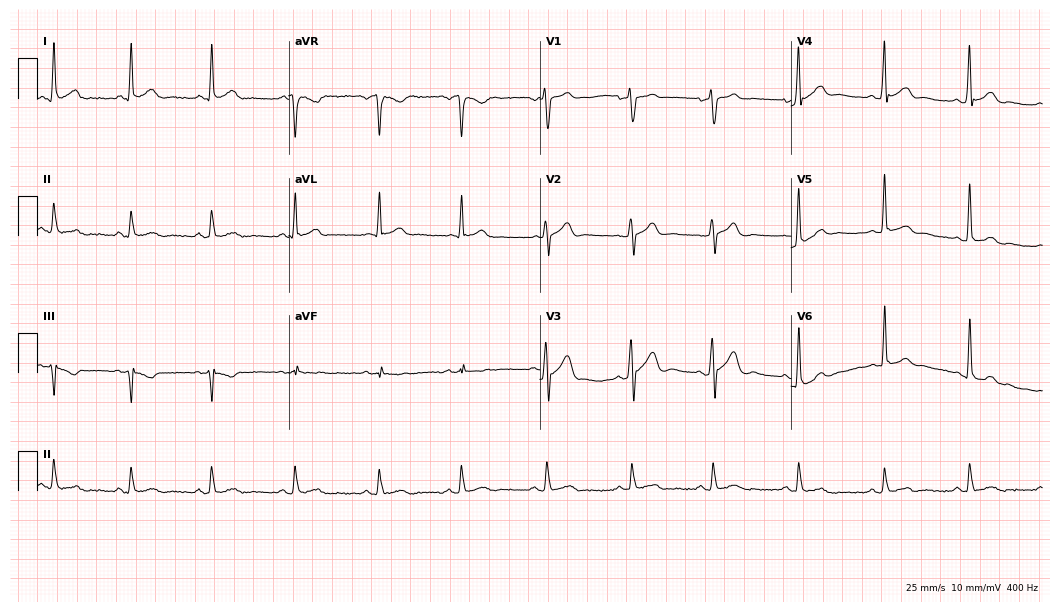
12-lead ECG (10.2-second recording at 400 Hz) from a man, 42 years old. Labelled as a normal ECG.